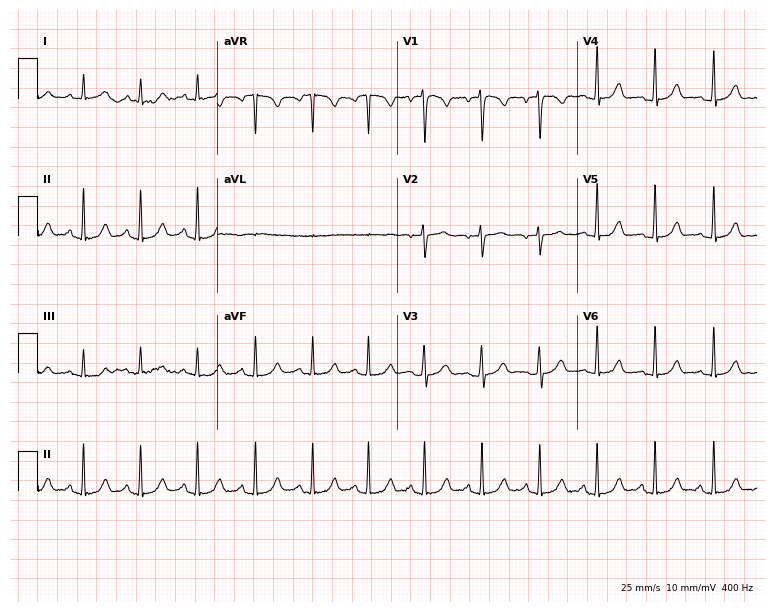
12-lead ECG from a woman, 25 years old (7.3-second recording at 400 Hz). Shows sinus tachycardia (a sinus rate of 100 beats per minute or more).